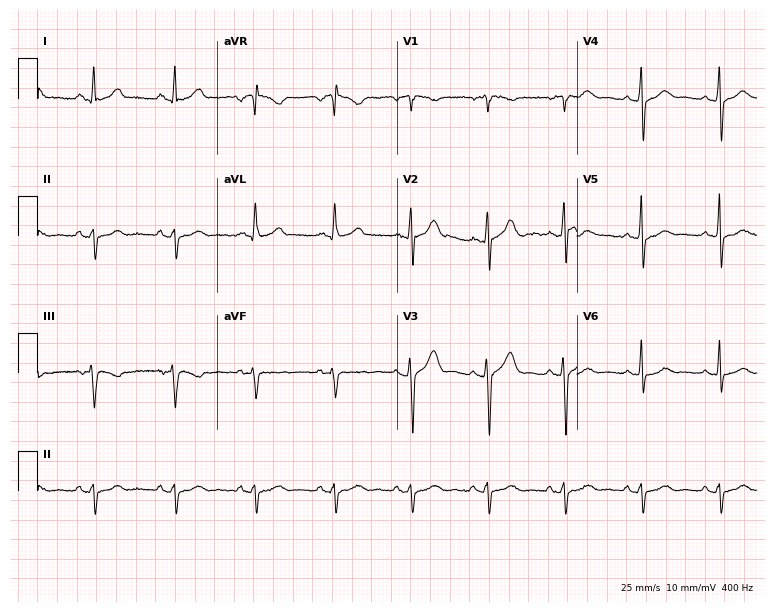
ECG — a male, 41 years old. Screened for six findings — first-degree AV block, right bundle branch block, left bundle branch block, sinus bradycardia, atrial fibrillation, sinus tachycardia — none is recorded.